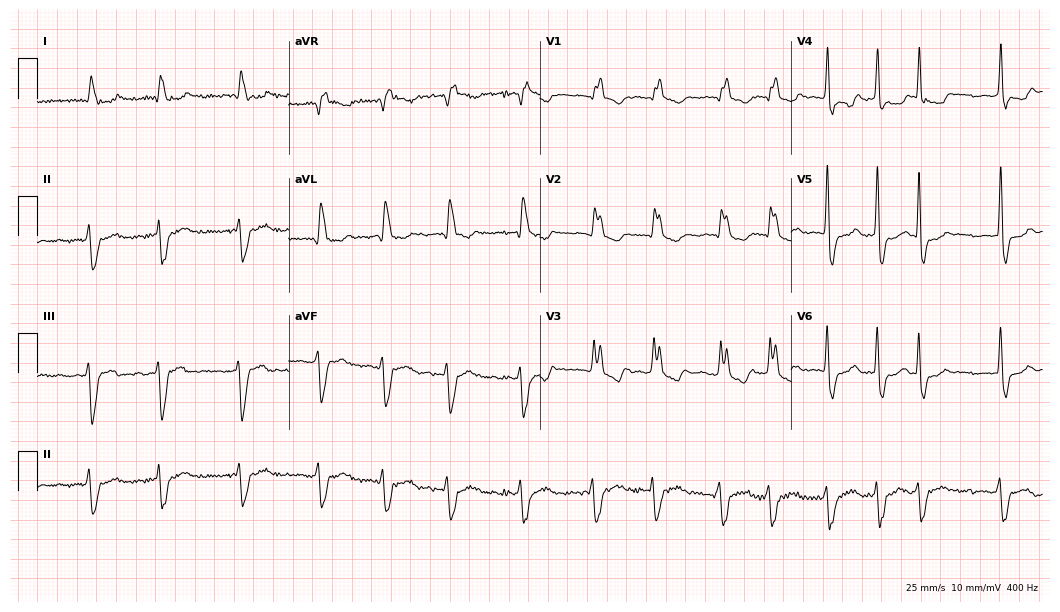
Electrocardiogram (10.2-second recording at 400 Hz), a woman, 68 years old. Interpretation includes right bundle branch block (RBBB), atrial fibrillation (AF).